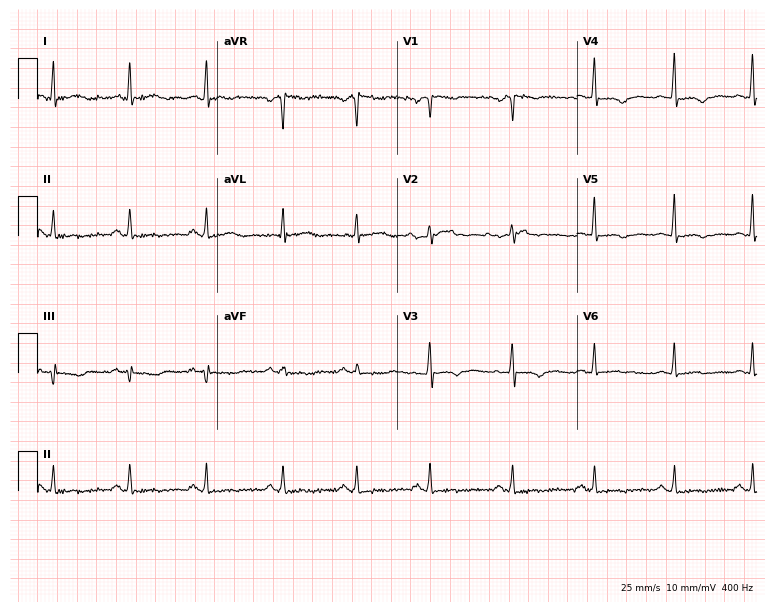
Resting 12-lead electrocardiogram. Patient: a woman, 47 years old. Read as a normal ECG.